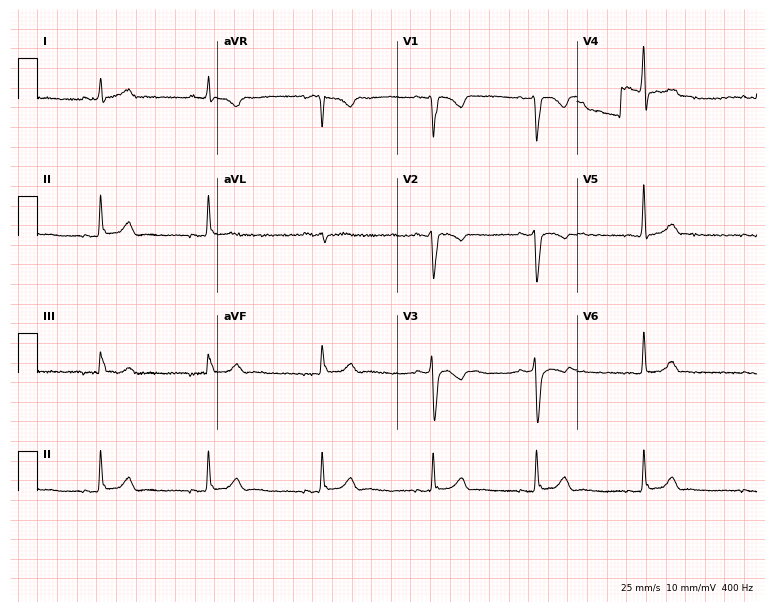
12-lead ECG from a 36-year-old man. No first-degree AV block, right bundle branch block (RBBB), left bundle branch block (LBBB), sinus bradycardia, atrial fibrillation (AF) or sinus tachycardia recorded for this tracing. Only these six findings were labelled.